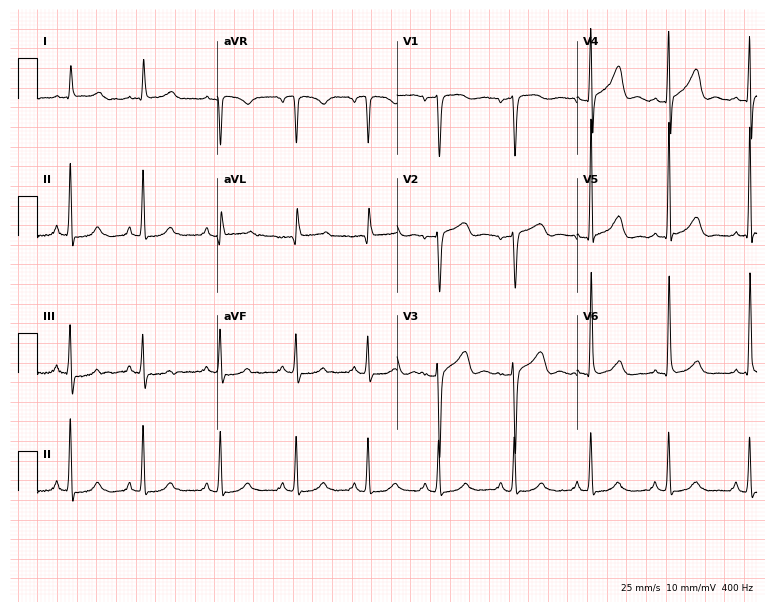
Electrocardiogram (7.3-second recording at 400 Hz), a 74-year-old female. Overall reading on record: normal ECG.